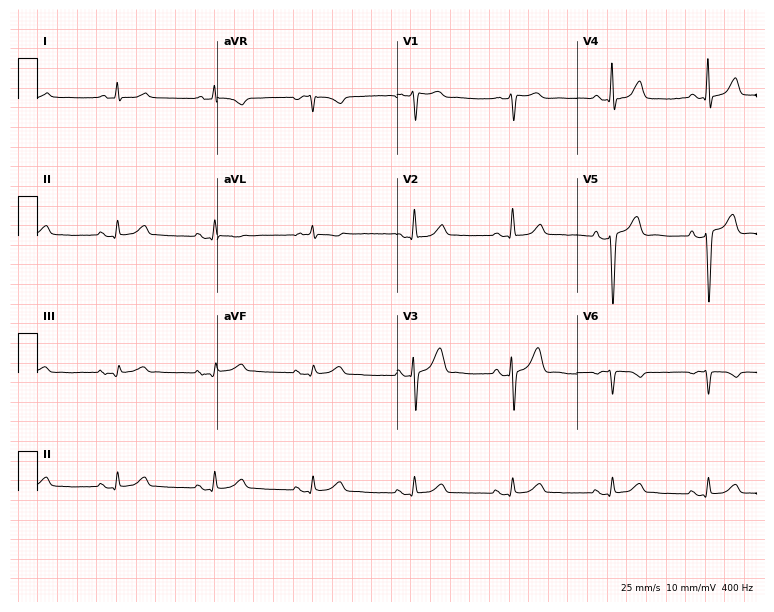
Resting 12-lead electrocardiogram. Patient: a male, 76 years old. None of these six findings is recorded: first-degree AV block, right bundle branch block (RBBB), left bundle branch block (LBBB), sinus bradycardia, atrial fibrillation (AF), sinus tachycardia. Other findings, if any, are not listed.